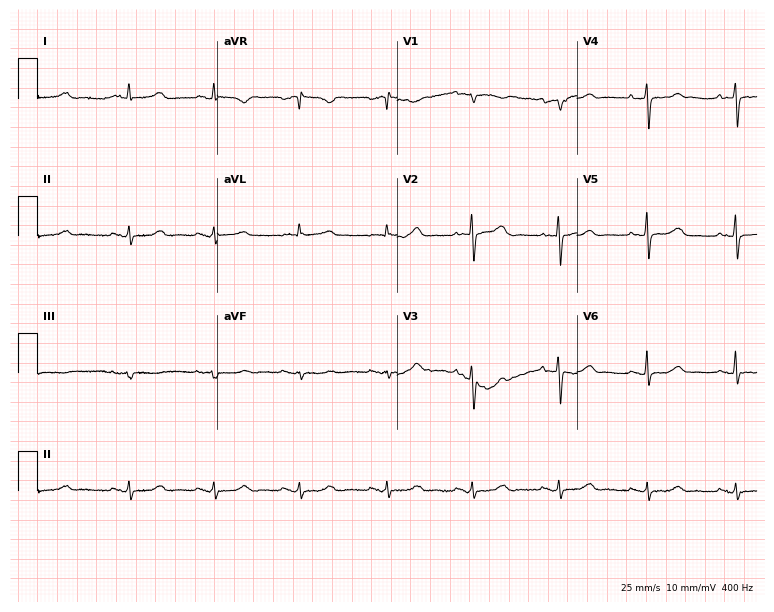
12-lead ECG from a female patient, 75 years old (7.3-second recording at 400 Hz). No first-degree AV block, right bundle branch block, left bundle branch block, sinus bradycardia, atrial fibrillation or sinus tachycardia recorded for this tracing.